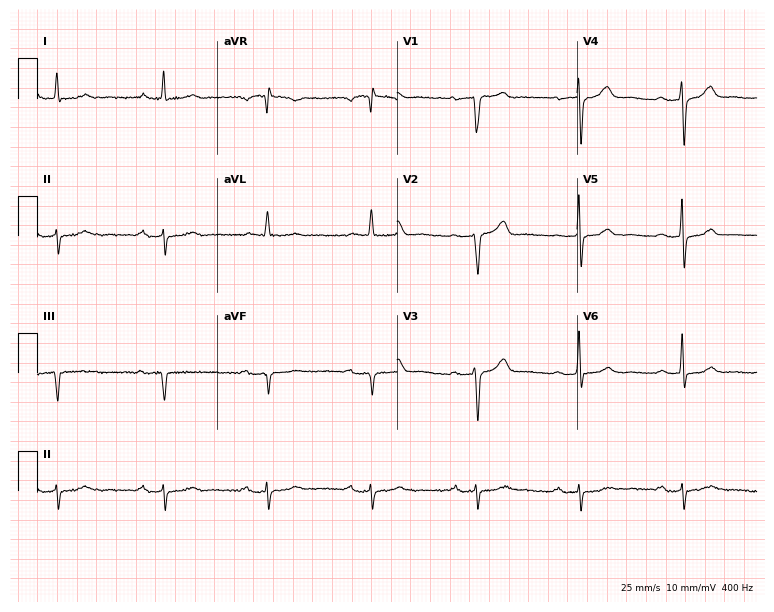
12-lead ECG (7.3-second recording at 400 Hz) from a man, 63 years old. Screened for six findings — first-degree AV block, right bundle branch block, left bundle branch block, sinus bradycardia, atrial fibrillation, sinus tachycardia — none is recorded. Other findings, if any, are not listed.